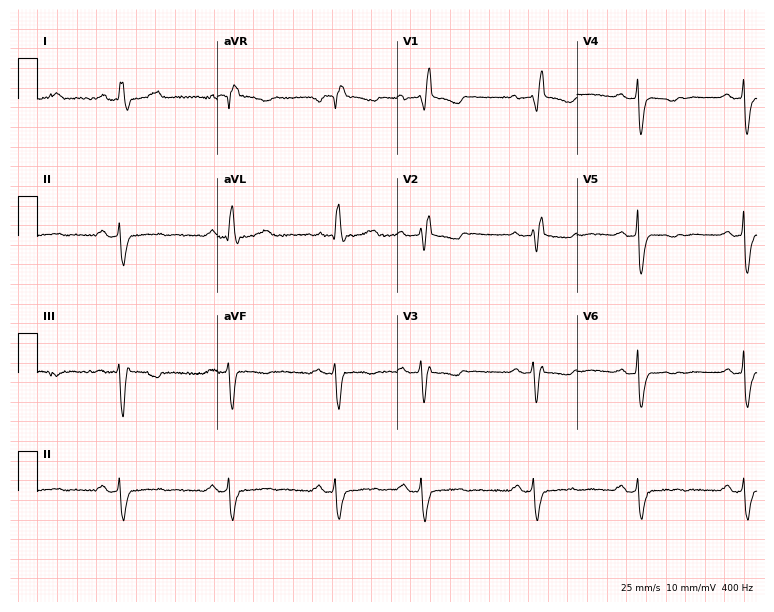
12-lead ECG from a 79-year-old woman (7.3-second recording at 400 Hz). Shows right bundle branch block.